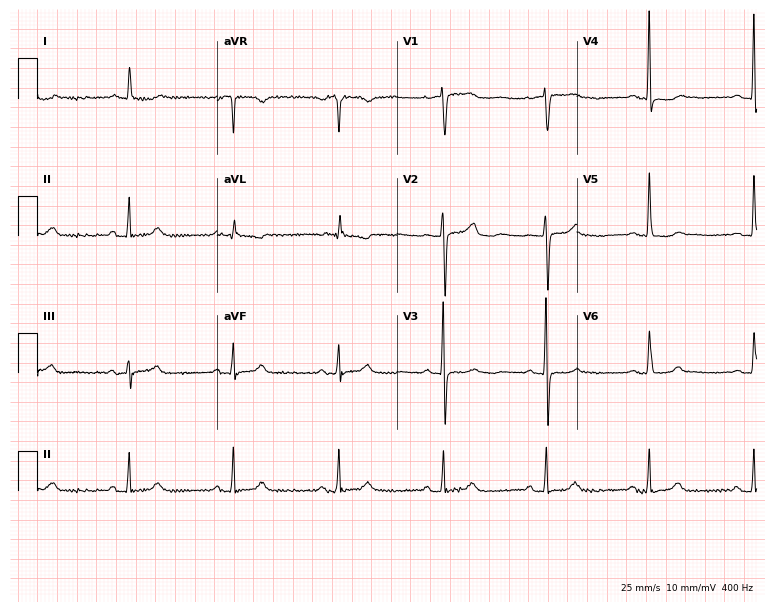
Standard 12-lead ECG recorded from a 74-year-old female (7.3-second recording at 400 Hz). None of these six findings is recorded: first-degree AV block, right bundle branch block, left bundle branch block, sinus bradycardia, atrial fibrillation, sinus tachycardia. Only these six findings were labelled.